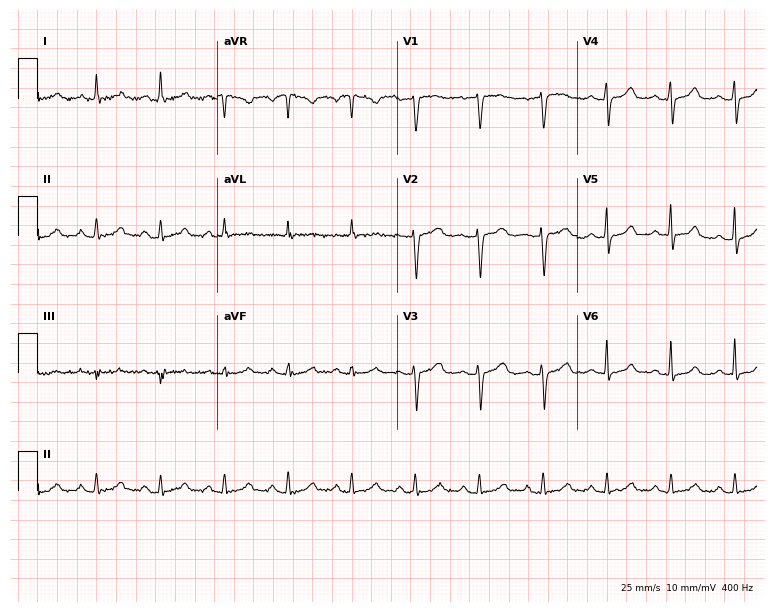
12-lead ECG from a 58-year-old female. Recorded interpretation: within normal limits.